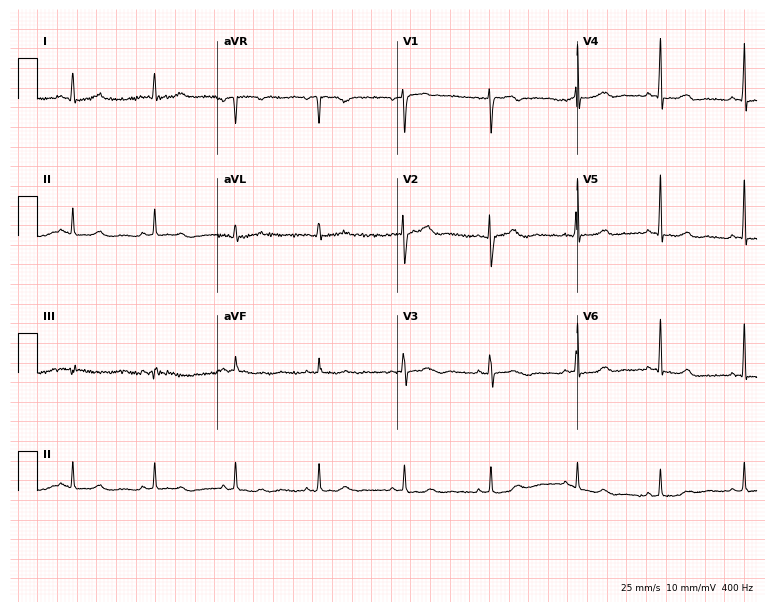
ECG — a female patient, 48 years old. Screened for six findings — first-degree AV block, right bundle branch block (RBBB), left bundle branch block (LBBB), sinus bradycardia, atrial fibrillation (AF), sinus tachycardia — none is recorded.